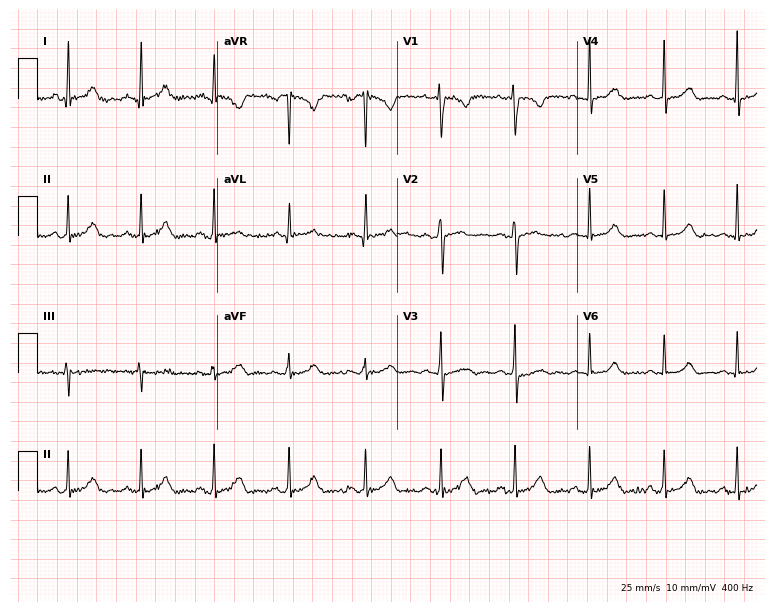
12-lead ECG (7.3-second recording at 400 Hz) from a 29-year-old female. Labelled as a normal ECG.